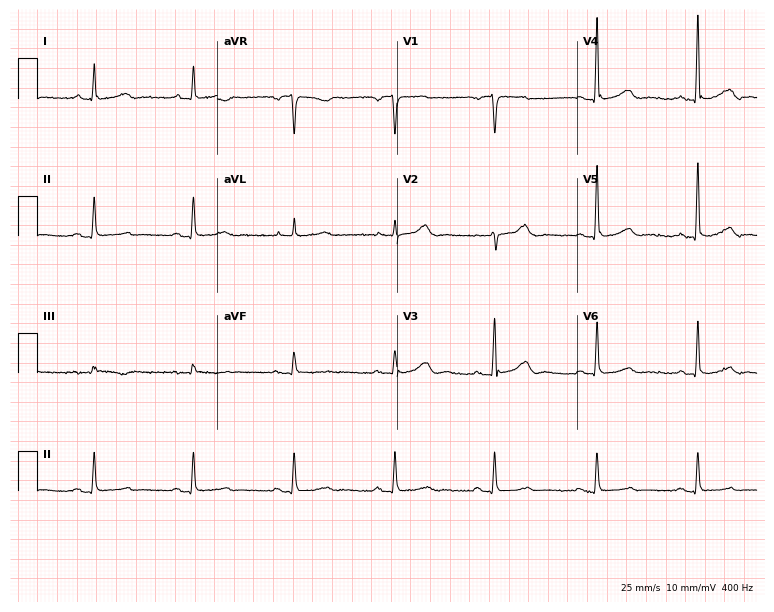
12-lead ECG from an 84-year-old man. No first-degree AV block, right bundle branch block (RBBB), left bundle branch block (LBBB), sinus bradycardia, atrial fibrillation (AF) or sinus tachycardia recorded for this tracing. Only these six findings were labelled.